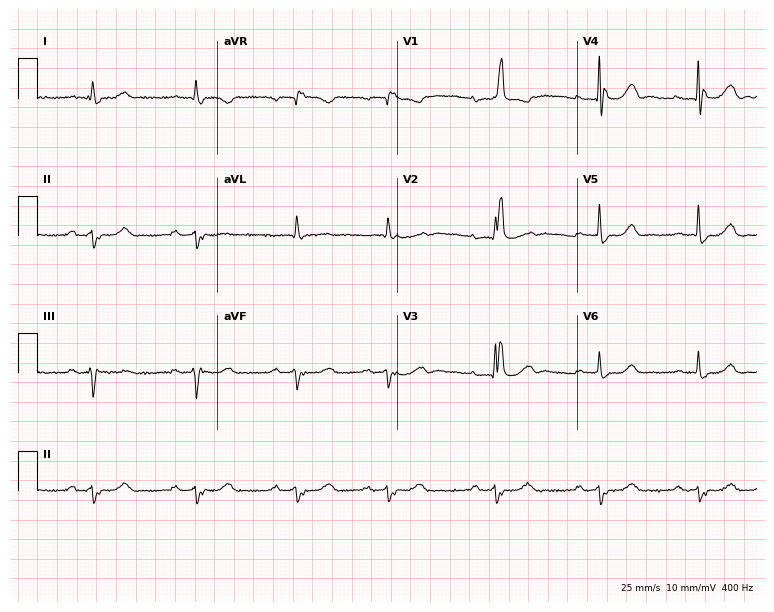
Electrocardiogram (7.3-second recording at 400 Hz), an 81-year-old female. Interpretation includes first-degree AV block, right bundle branch block.